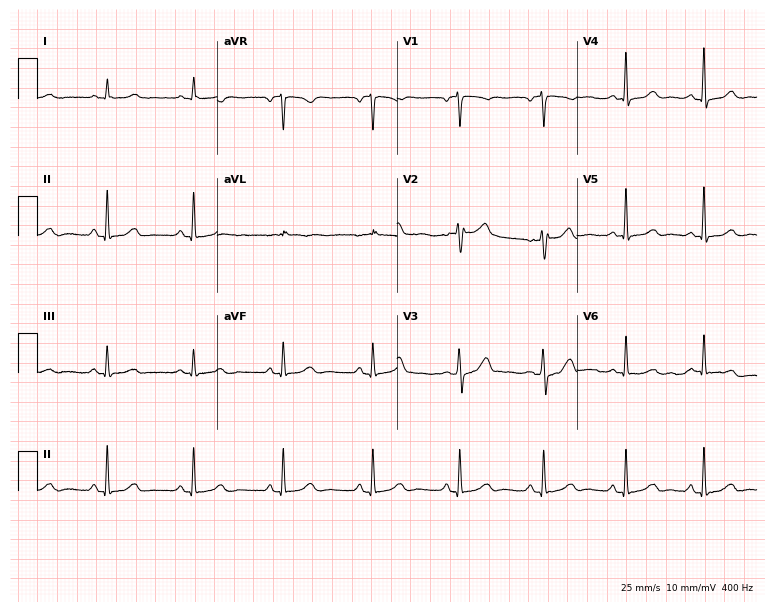
Electrocardiogram, a 52-year-old female. Of the six screened findings (first-degree AV block, right bundle branch block (RBBB), left bundle branch block (LBBB), sinus bradycardia, atrial fibrillation (AF), sinus tachycardia), none is recorded. Other findings, if any, are not listed.